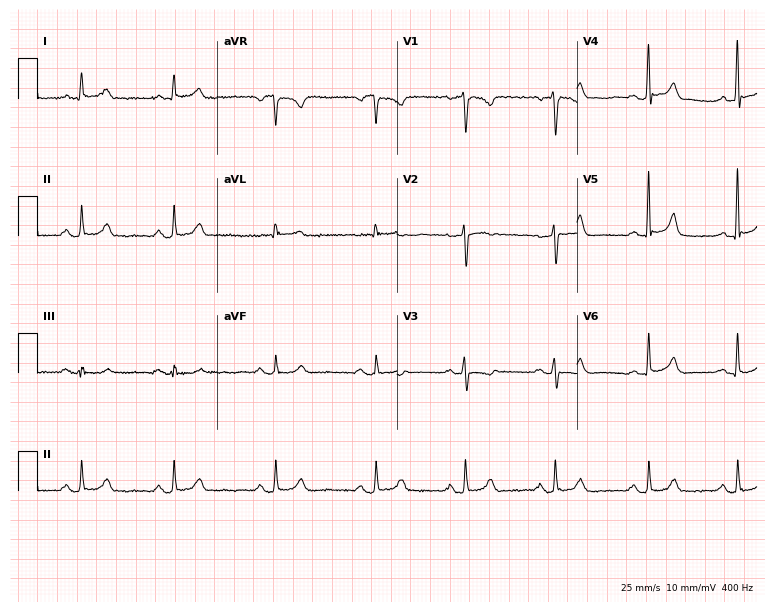
Electrocardiogram, a female patient, 44 years old. Overall reading on record: normal ECG.